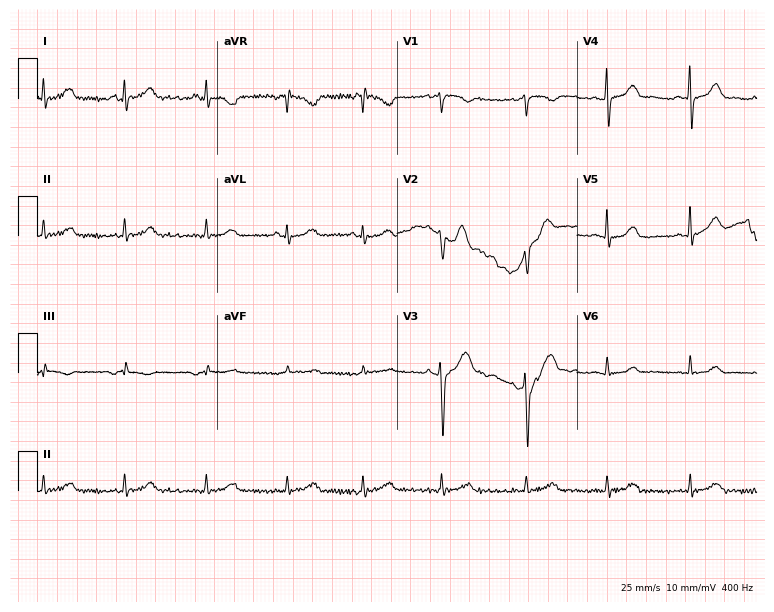
Standard 12-lead ECG recorded from a 44-year-old woman. None of these six findings is recorded: first-degree AV block, right bundle branch block, left bundle branch block, sinus bradycardia, atrial fibrillation, sinus tachycardia. Other findings, if any, are not listed.